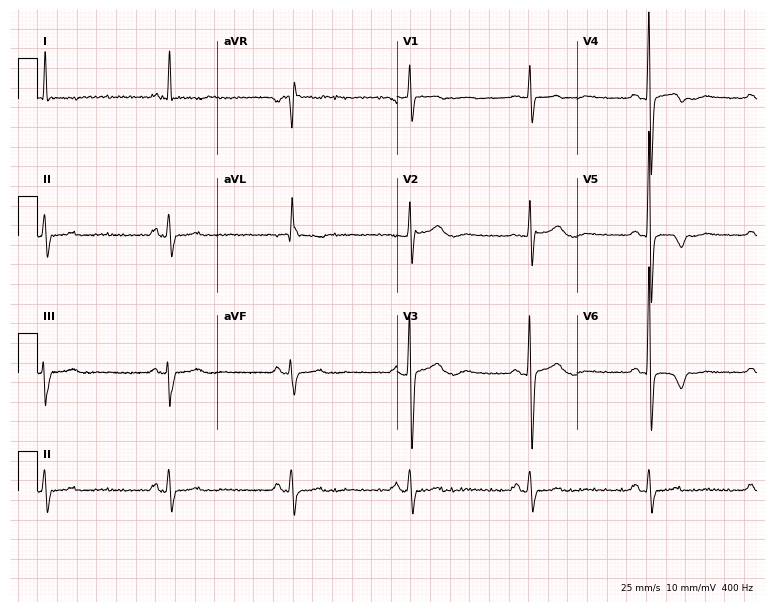
Standard 12-lead ECG recorded from a 75-year-old female patient. The tracing shows sinus bradycardia (a sinus rate of 50 beats per minute or less).